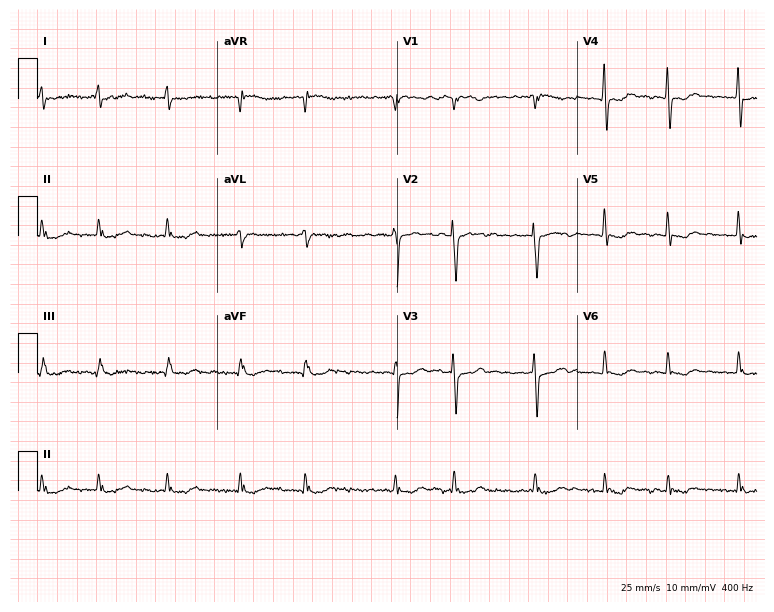
ECG (7.3-second recording at 400 Hz) — a male, 81 years old. Findings include atrial fibrillation.